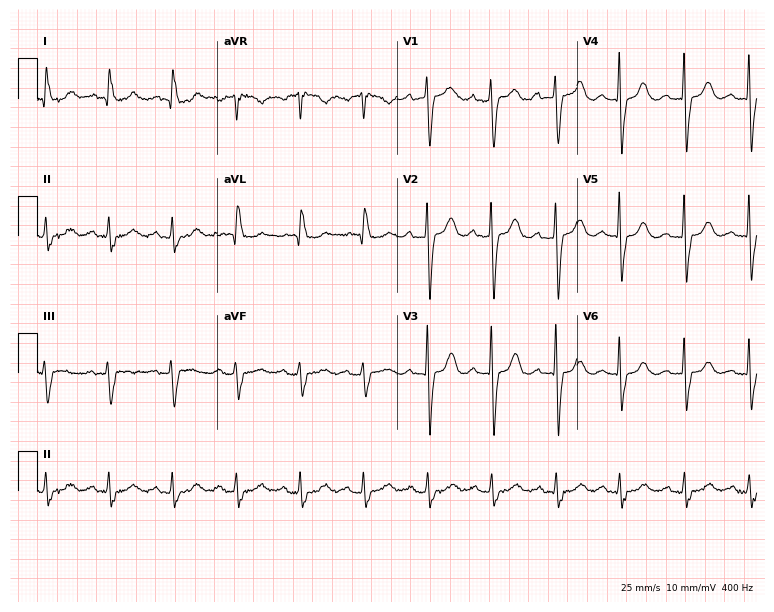
Standard 12-lead ECG recorded from a 72-year-old female. None of these six findings is recorded: first-degree AV block, right bundle branch block, left bundle branch block, sinus bradycardia, atrial fibrillation, sinus tachycardia.